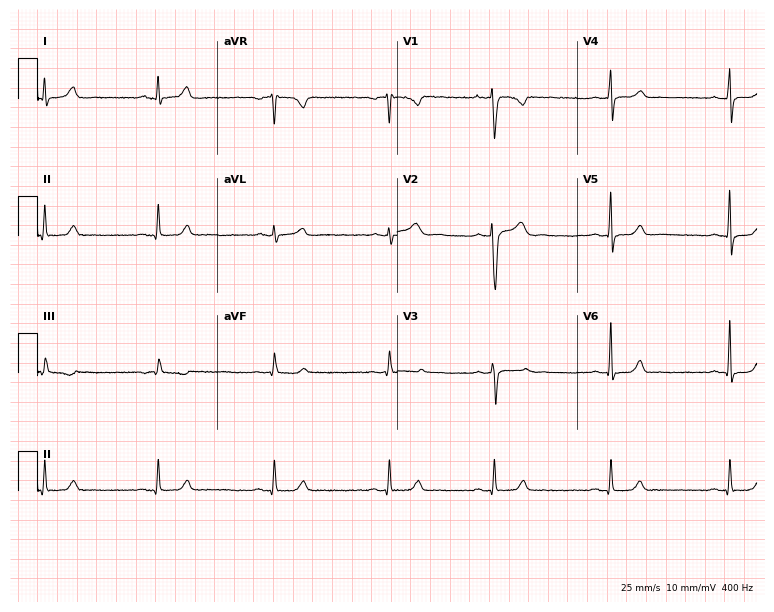
12-lead ECG from a woman, 34 years old. No first-degree AV block, right bundle branch block, left bundle branch block, sinus bradycardia, atrial fibrillation or sinus tachycardia recorded for this tracing.